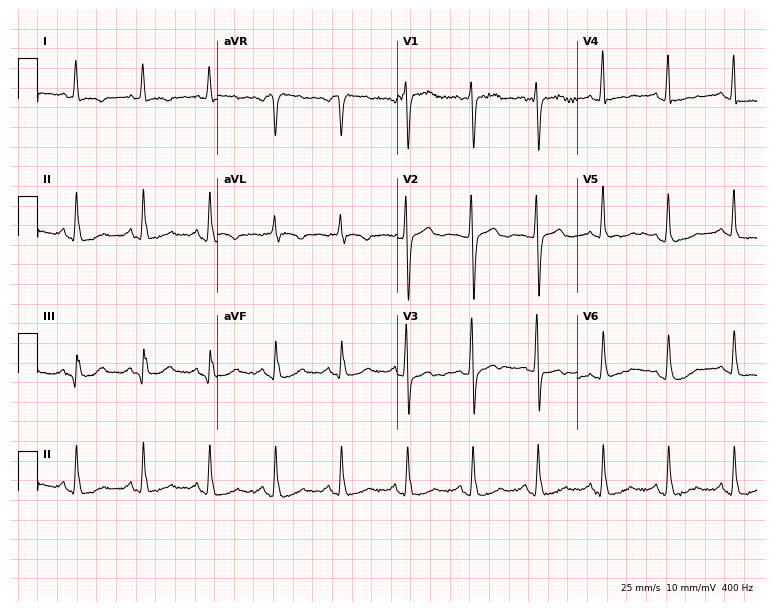
Resting 12-lead electrocardiogram. Patient: a 64-year-old woman. None of these six findings is recorded: first-degree AV block, right bundle branch block, left bundle branch block, sinus bradycardia, atrial fibrillation, sinus tachycardia.